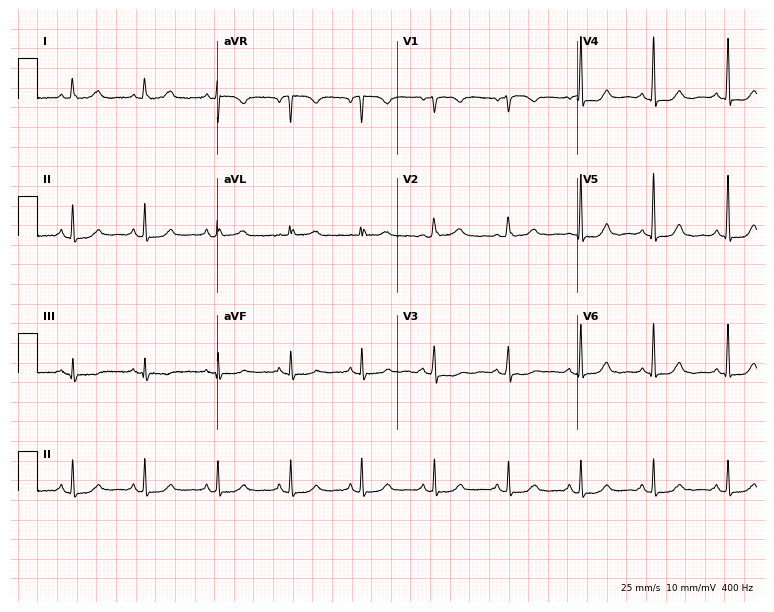
Resting 12-lead electrocardiogram. Patient: an 81-year-old female. None of these six findings is recorded: first-degree AV block, right bundle branch block, left bundle branch block, sinus bradycardia, atrial fibrillation, sinus tachycardia. Only these six findings were labelled.